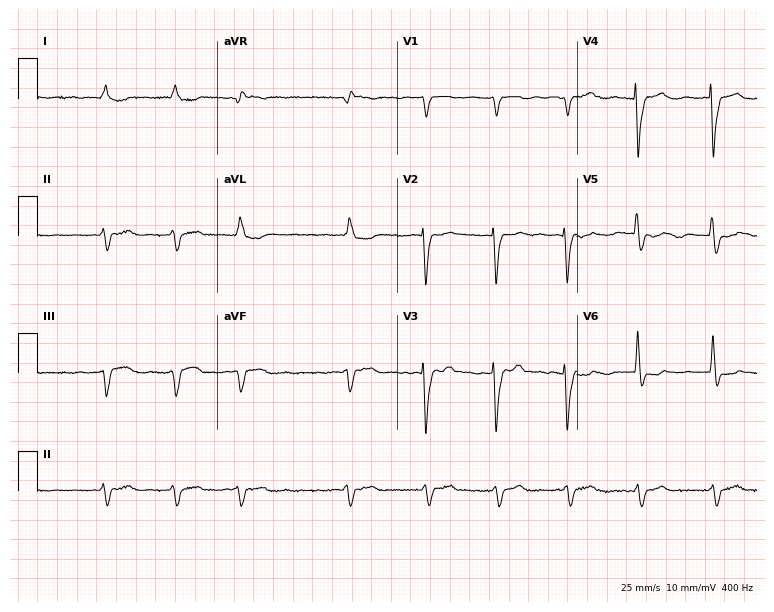
Standard 12-lead ECG recorded from a female, 81 years old. The tracing shows atrial fibrillation.